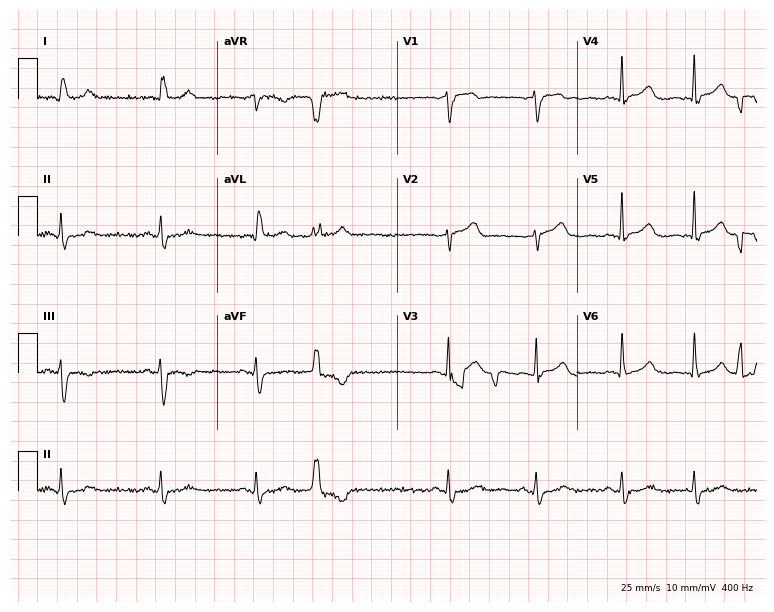
Standard 12-lead ECG recorded from a 74-year-old male. None of these six findings is recorded: first-degree AV block, right bundle branch block, left bundle branch block, sinus bradycardia, atrial fibrillation, sinus tachycardia.